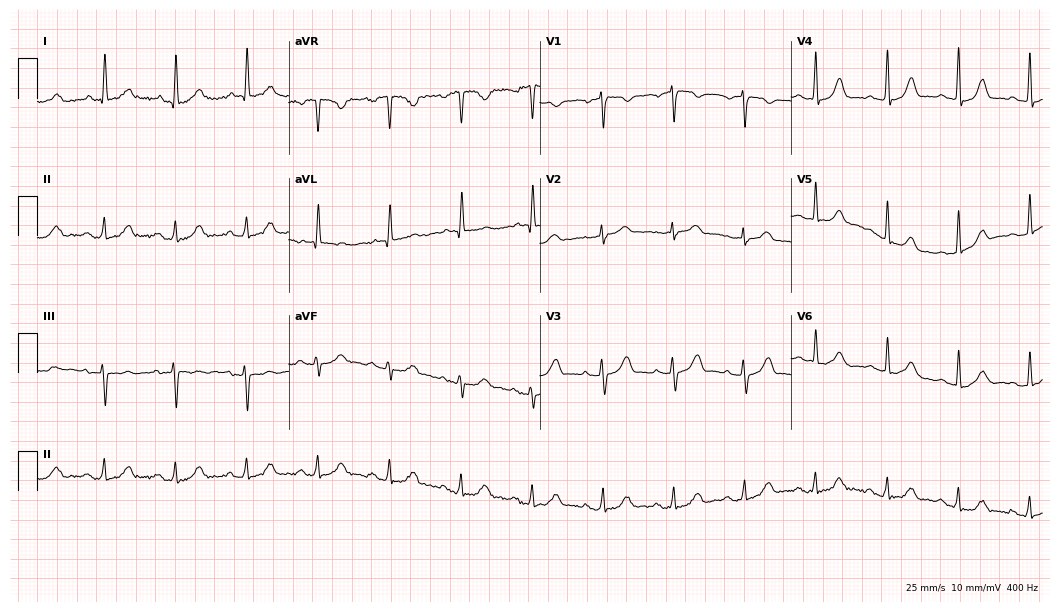
Electrocardiogram (10.2-second recording at 400 Hz), a female patient, 82 years old. Overall reading on record: normal ECG.